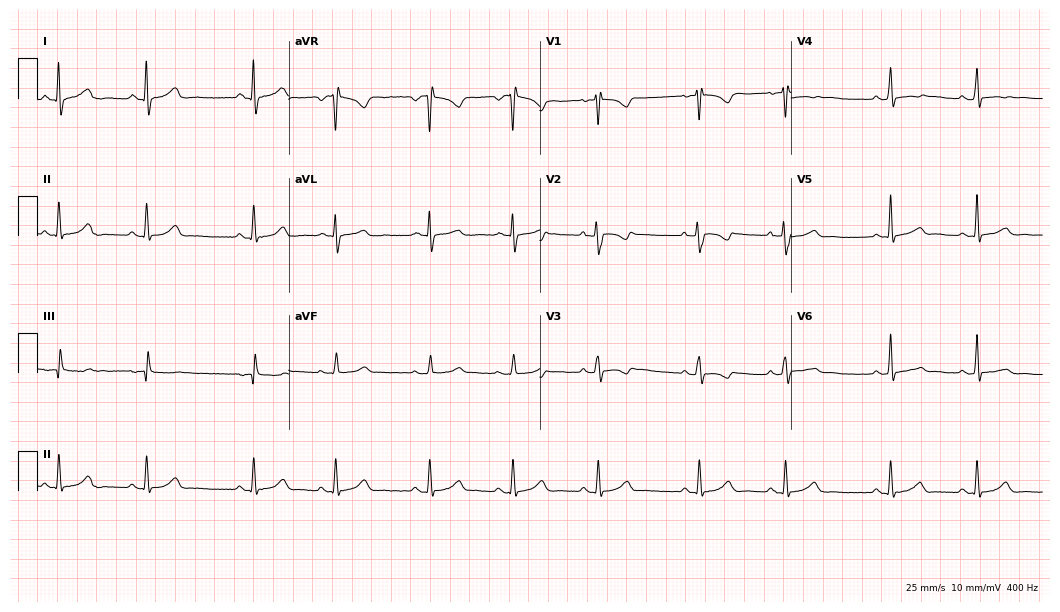
Resting 12-lead electrocardiogram. Patient: a woman, 30 years old. Read as a normal ECG.